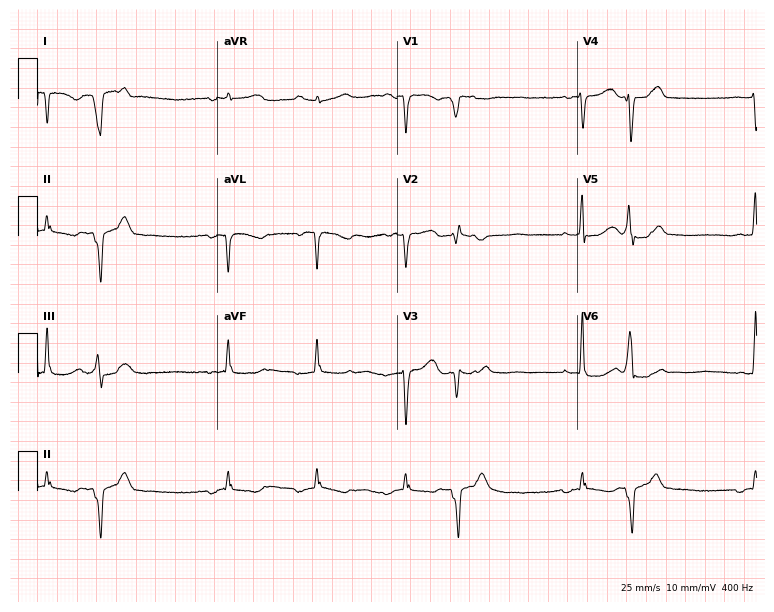
Electrocardiogram (7.3-second recording at 400 Hz), a female patient, 62 years old. Of the six screened findings (first-degree AV block, right bundle branch block (RBBB), left bundle branch block (LBBB), sinus bradycardia, atrial fibrillation (AF), sinus tachycardia), none is recorded.